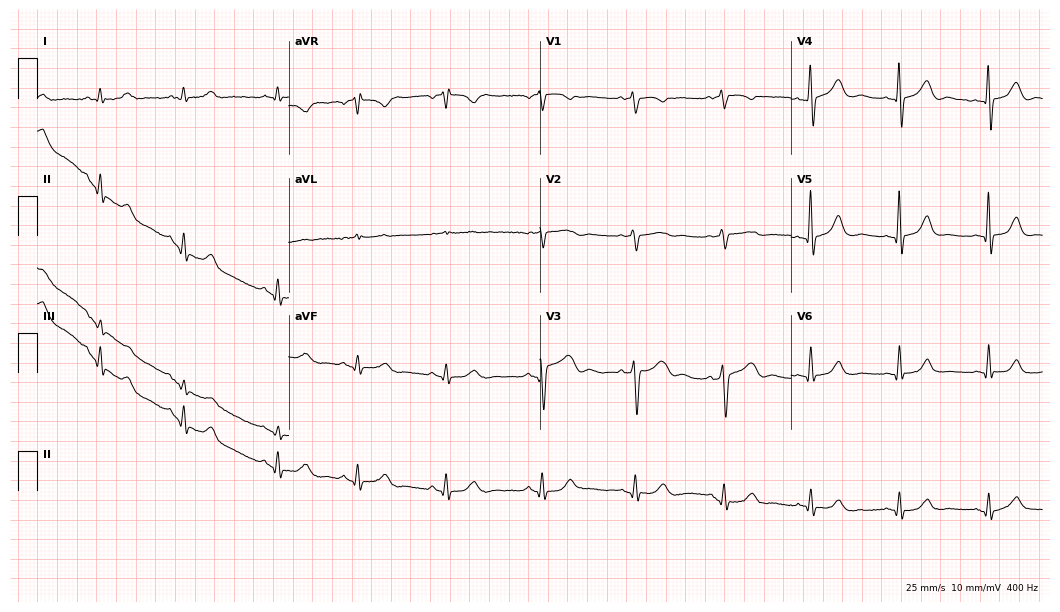
12-lead ECG (10.2-second recording at 400 Hz) from a male patient, 70 years old. Screened for six findings — first-degree AV block, right bundle branch block, left bundle branch block, sinus bradycardia, atrial fibrillation, sinus tachycardia — none is recorded.